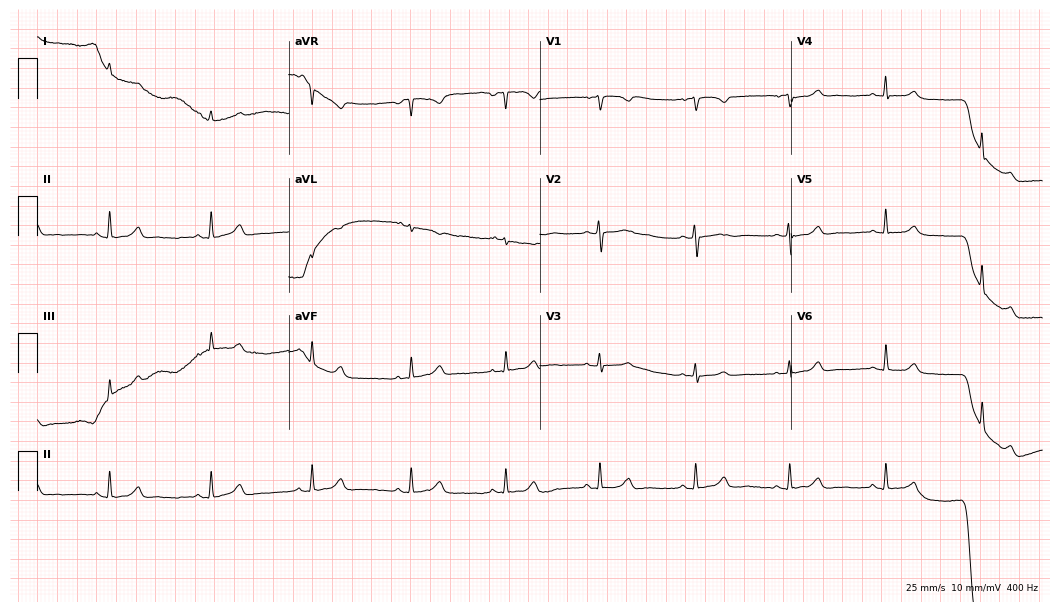
Resting 12-lead electrocardiogram (10.2-second recording at 400 Hz). Patient: a 46-year-old woman. Read as a normal ECG.